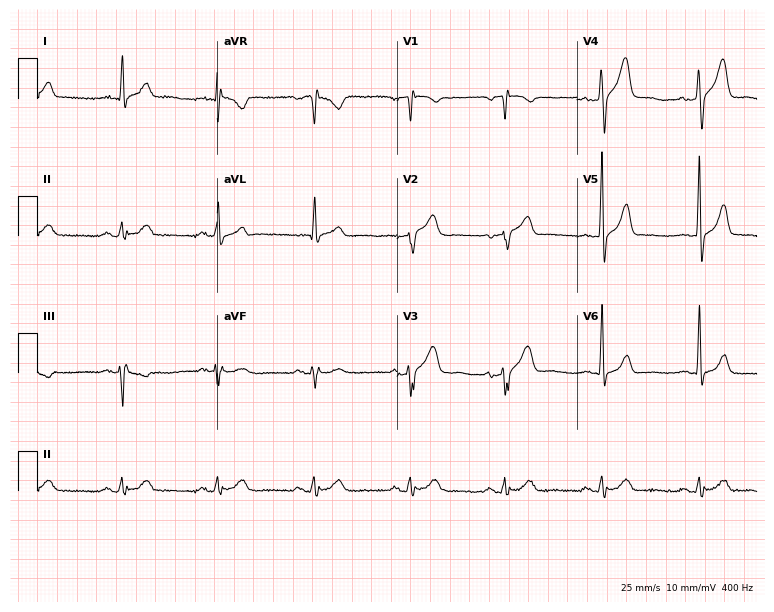
Resting 12-lead electrocardiogram (7.3-second recording at 400 Hz). Patient: a 65-year-old man. None of these six findings is recorded: first-degree AV block, right bundle branch block, left bundle branch block, sinus bradycardia, atrial fibrillation, sinus tachycardia. Only these six findings were labelled.